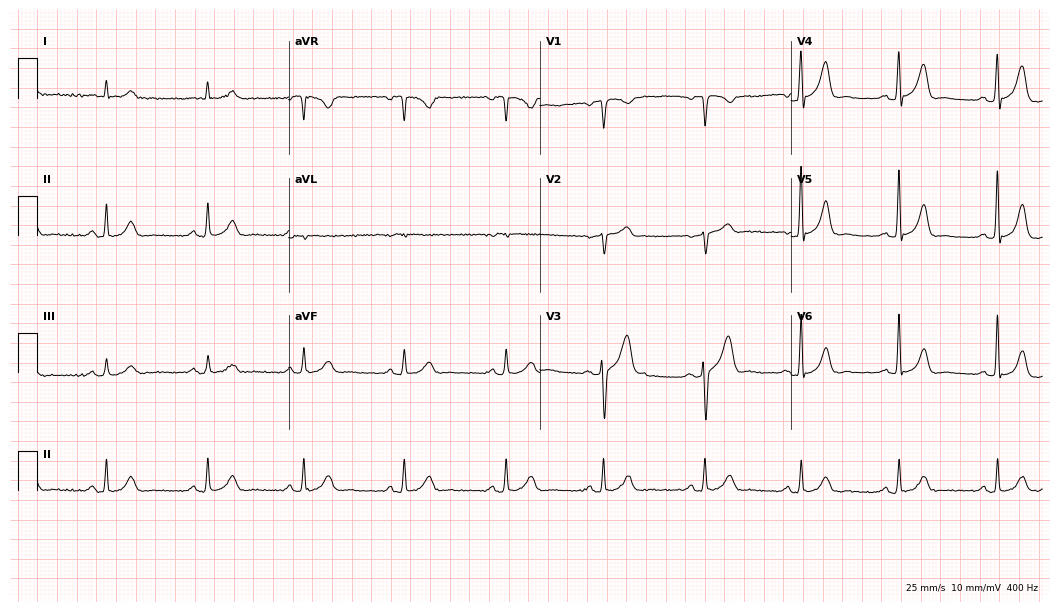
Standard 12-lead ECG recorded from a 57-year-old male patient (10.2-second recording at 400 Hz). Read as a normal ECG.